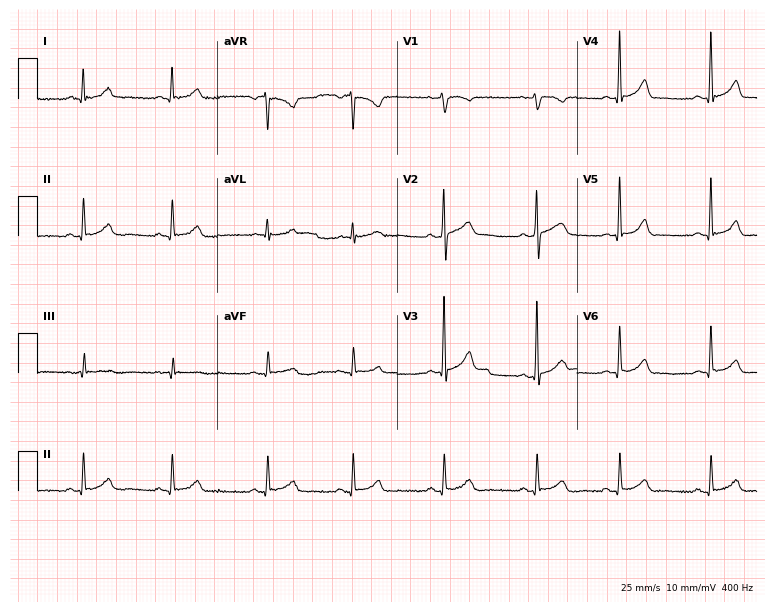
Standard 12-lead ECG recorded from a female patient, 26 years old (7.3-second recording at 400 Hz). None of these six findings is recorded: first-degree AV block, right bundle branch block (RBBB), left bundle branch block (LBBB), sinus bradycardia, atrial fibrillation (AF), sinus tachycardia. Findings outside these six are not listed.